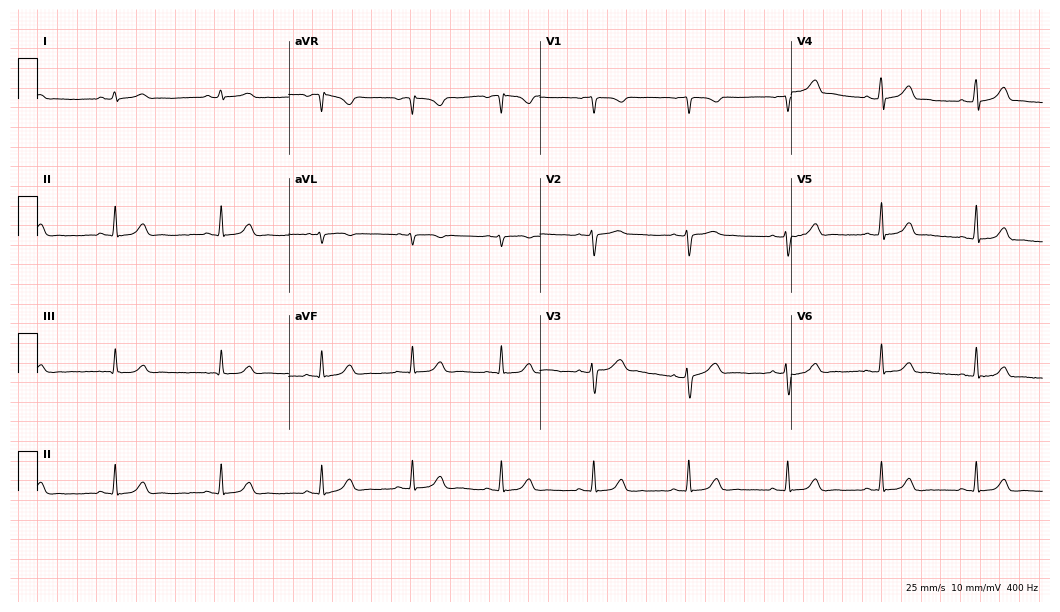
Standard 12-lead ECG recorded from a 40-year-old female patient (10.2-second recording at 400 Hz). Read as a normal ECG.